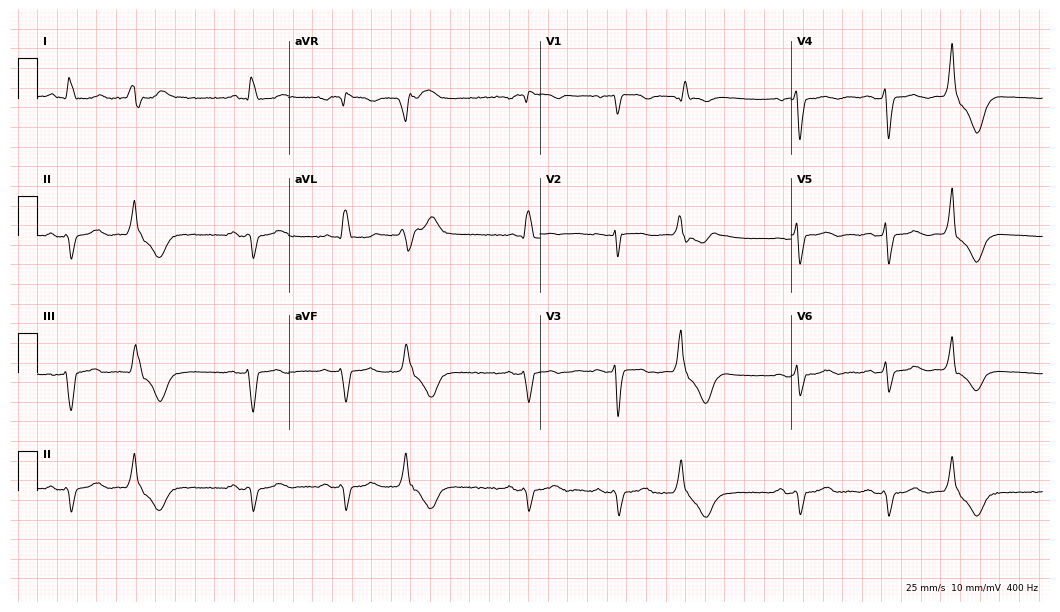
ECG — a 72-year-old female. Screened for six findings — first-degree AV block, right bundle branch block, left bundle branch block, sinus bradycardia, atrial fibrillation, sinus tachycardia — none is recorded.